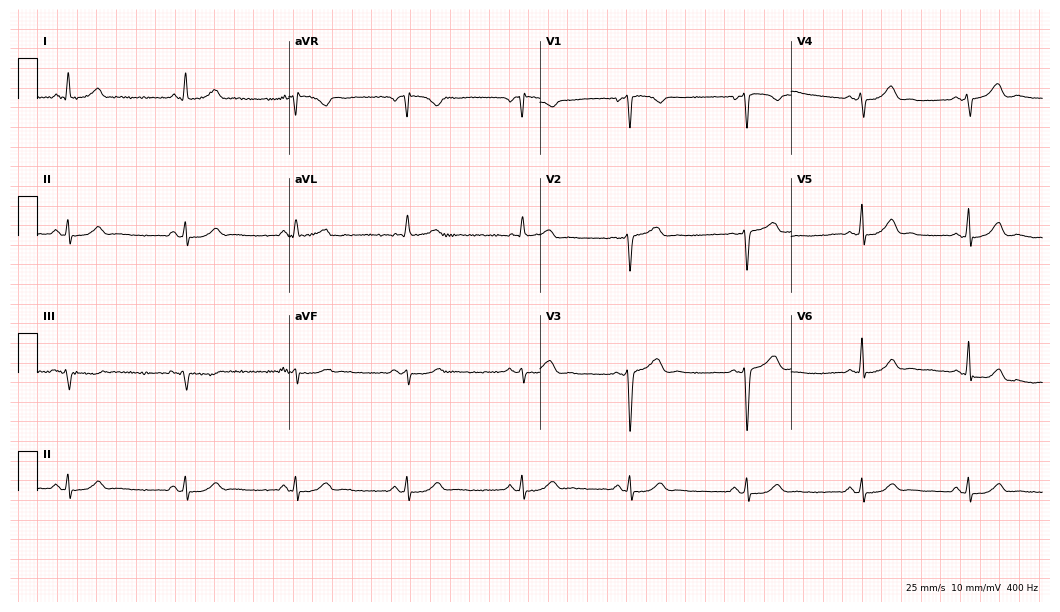
12-lead ECG from a 35-year-old woman. Screened for six findings — first-degree AV block, right bundle branch block (RBBB), left bundle branch block (LBBB), sinus bradycardia, atrial fibrillation (AF), sinus tachycardia — none is recorded.